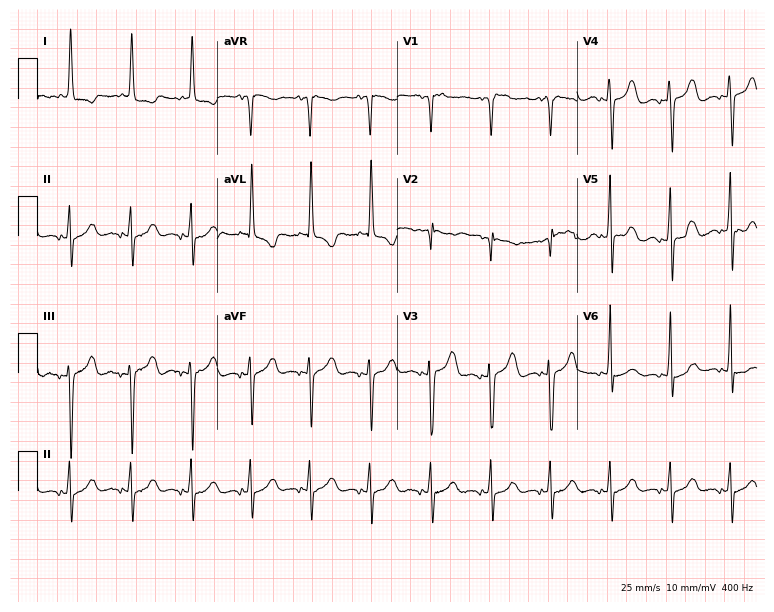
Resting 12-lead electrocardiogram. Patient: a female, 85 years old. None of these six findings is recorded: first-degree AV block, right bundle branch block, left bundle branch block, sinus bradycardia, atrial fibrillation, sinus tachycardia.